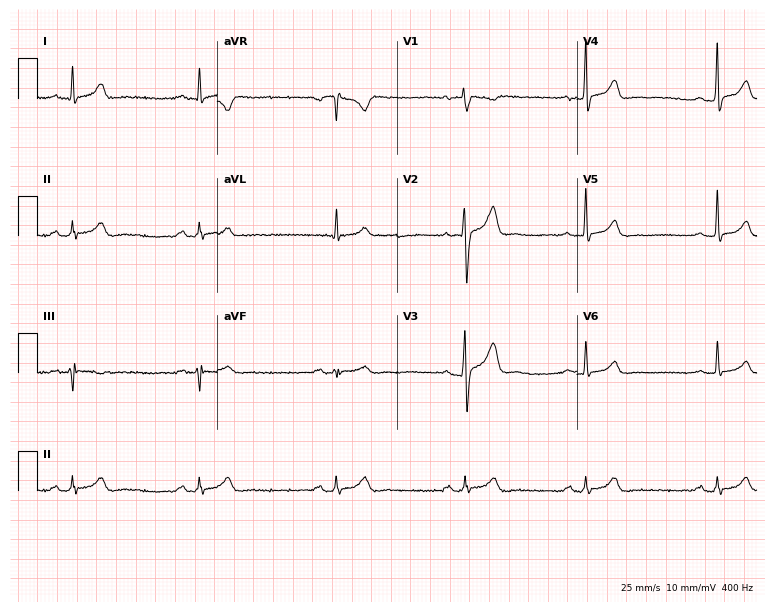
Standard 12-lead ECG recorded from a 34-year-old man. The tracing shows sinus bradycardia (a sinus rate of 50 beats per minute or less).